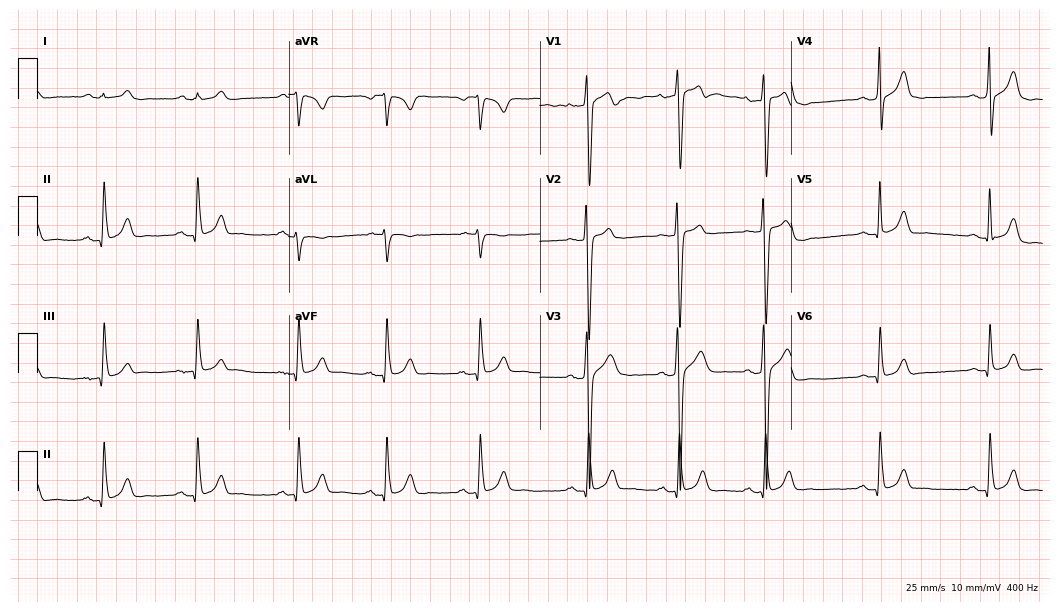
12-lead ECG from a 32-year-old man. Labelled as a normal ECG.